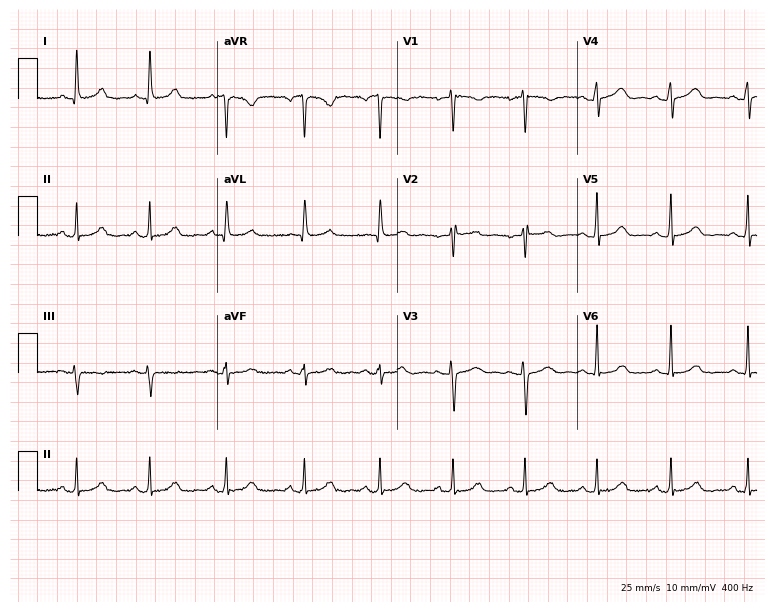
ECG (7.3-second recording at 400 Hz) — a 52-year-old woman. Screened for six findings — first-degree AV block, right bundle branch block (RBBB), left bundle branch block (LBBB), sinus bradycardia, atrial fibrillation (AF), sinus tachycardia — none is recorded. Only these six findings were labelled.